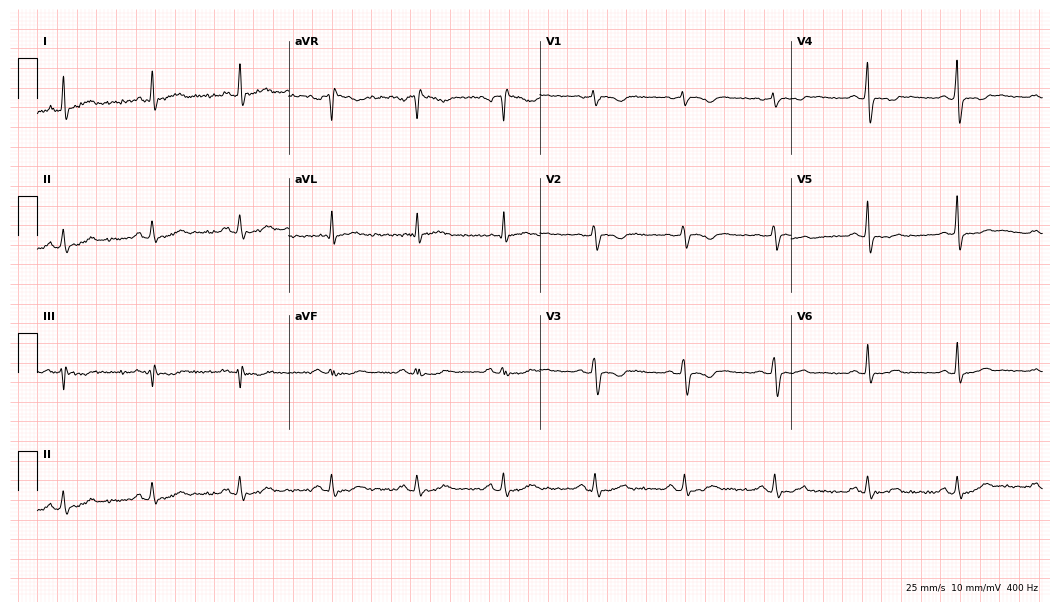
12-lead ECG from a 36-year-old female patient. No first-degree AV block, right bundle branch block, left bundle branch block, sinus bradycardia, atrial fibrillation or sinus tachycardia recorded for this tracing. Findings outside these six are not listed.